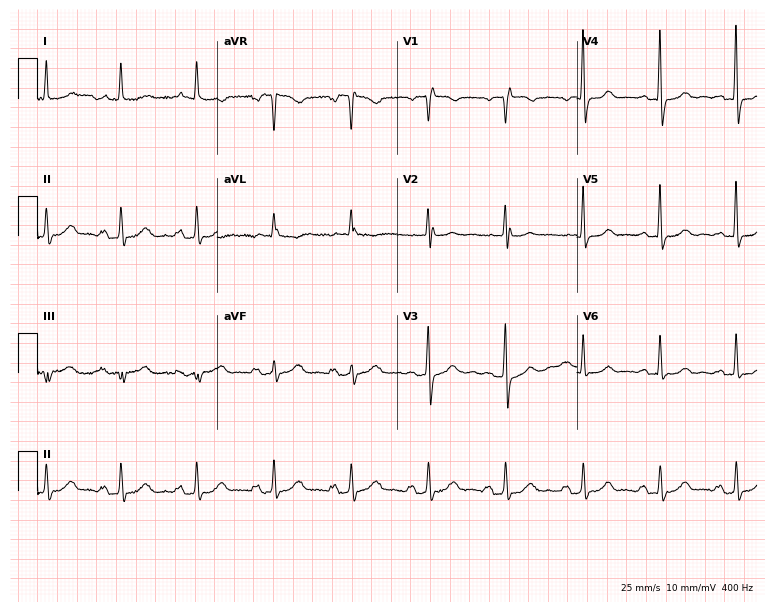
Electrocardiogram (7.3-second recording at 400 Hz), a female patient, 69 years old. Overall reading on record: normal ECG.